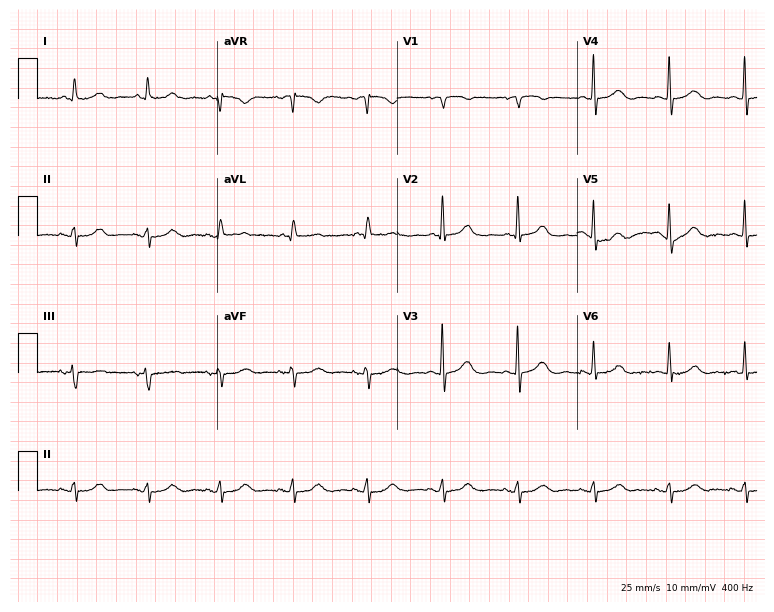
ECG (7.3-second recording at 400 Hz) — a 79-year-old woman. Labelled as a normal ECG.